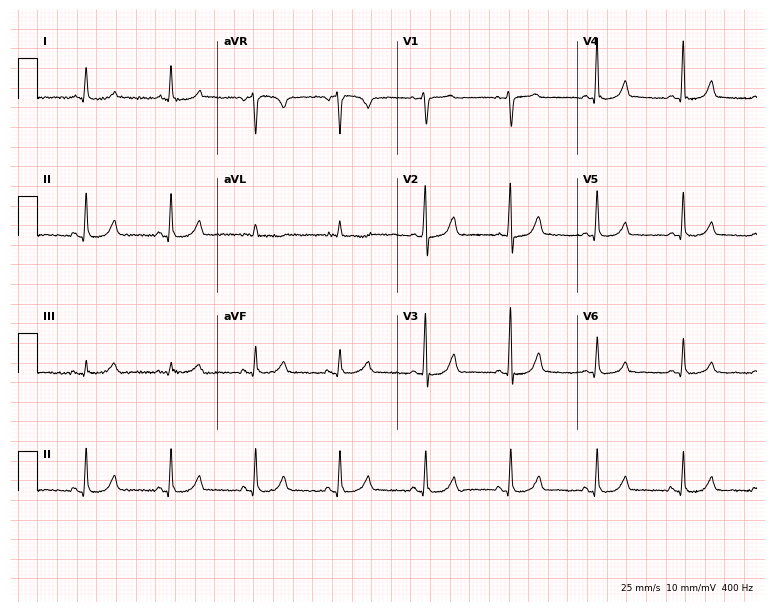
Standard 12-lead ECG recorded from a 69-year-old female patient. Read as a normal ECG.